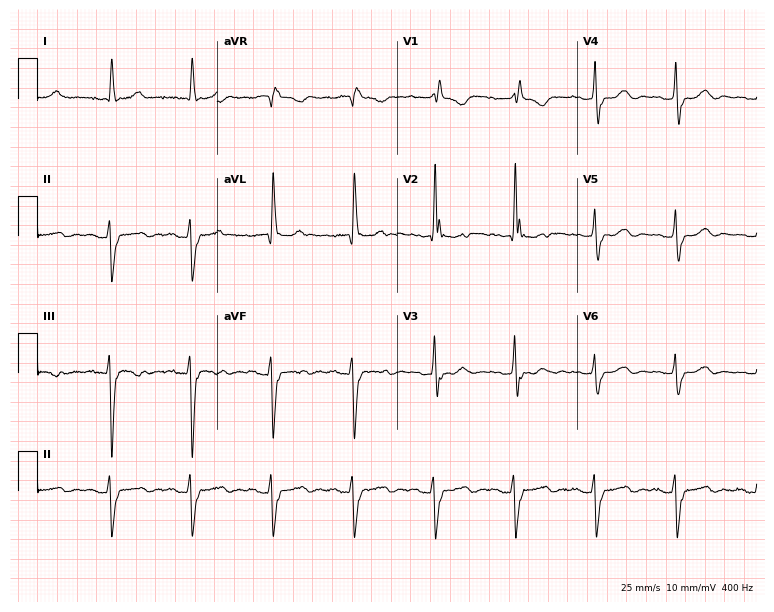
12-lead ECG from a female patient, 71 years old (7.3-second recording at 400 Hz). Shows right bundle branch block.